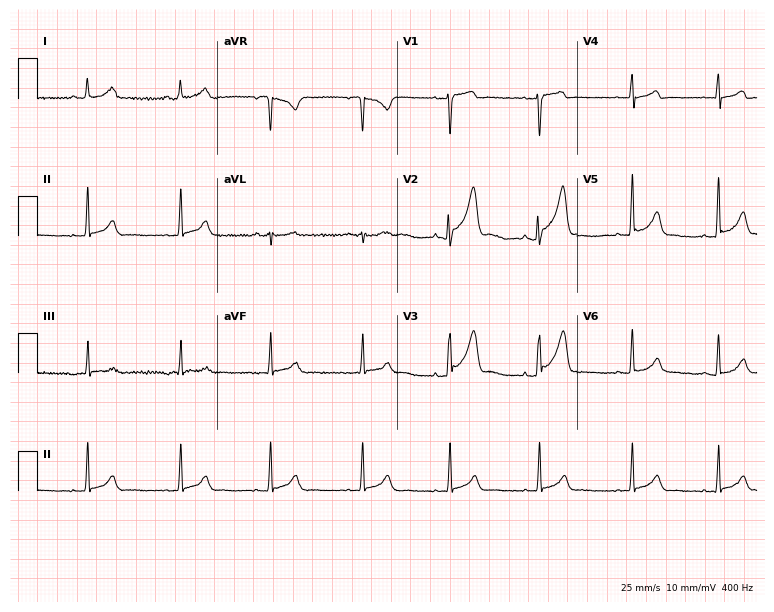
Resting 12-lead electrocardiogram (7.3-second recording at 400 Hz). Patient: a male, 31 years old. None of these six findings is recorded: first-degree AV block, right bundle branch block (RBBB), left bundle branch block (LBBB), sinus bradycardia, atrial fibrillation (AF), sinus tachycardia. Other findings, if any, are not listed.